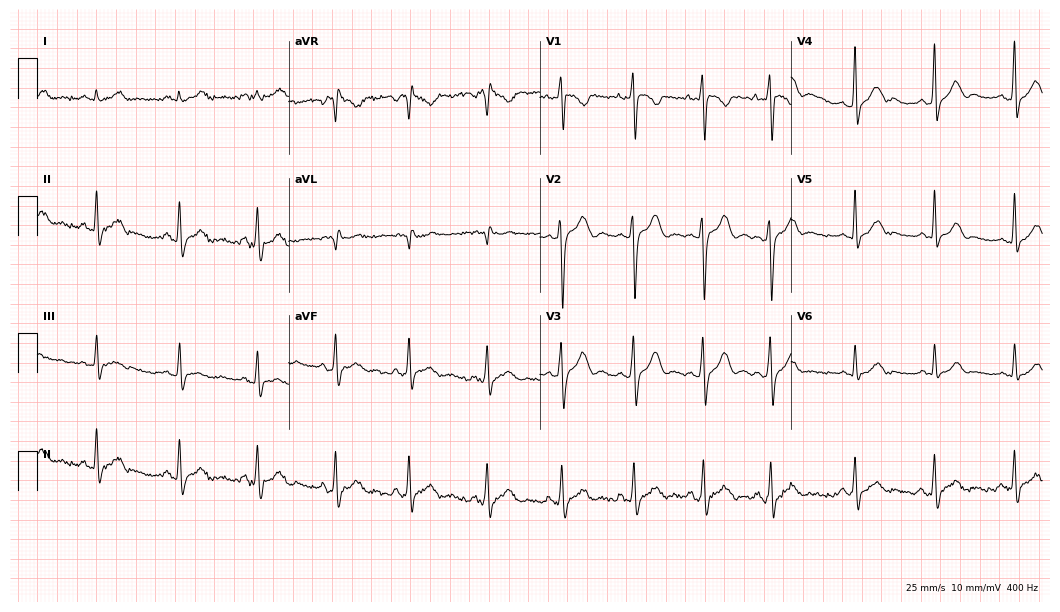
12-lead ECG (10.2-second recording at 400 Hz) from a 24-year-old man. Screened for six findings — first-degree AV block, right bundle branch block (RBBB), left bundle branch block (LBBB), sinus bradycardia, atrial fibrillation (AF), sinus tachycardia — none is recorded. Only these six findings were labelled.